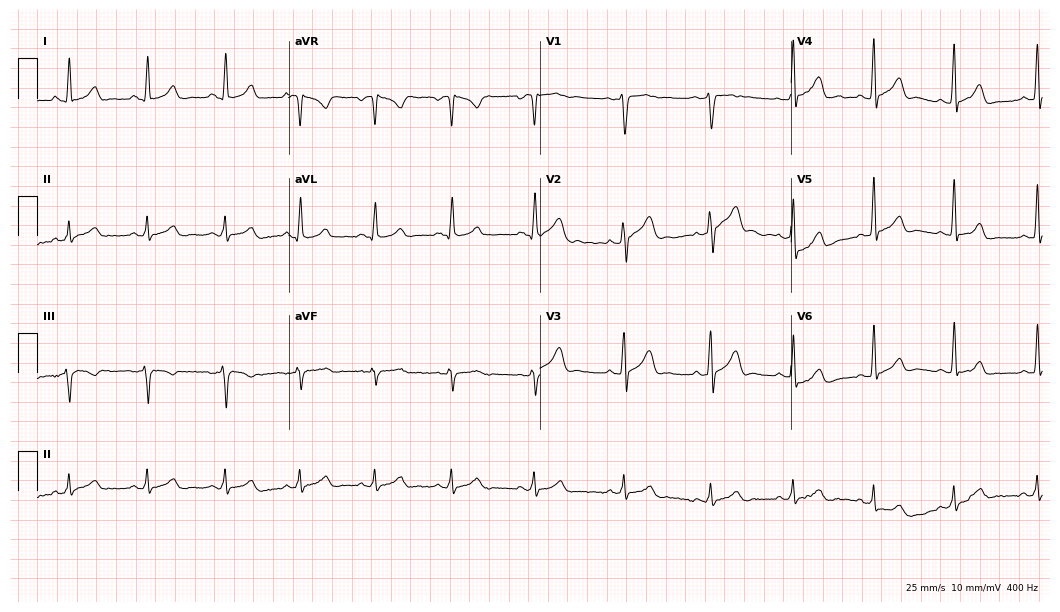
ECG — a 28-year-old male. Labelled as a normal ECG.